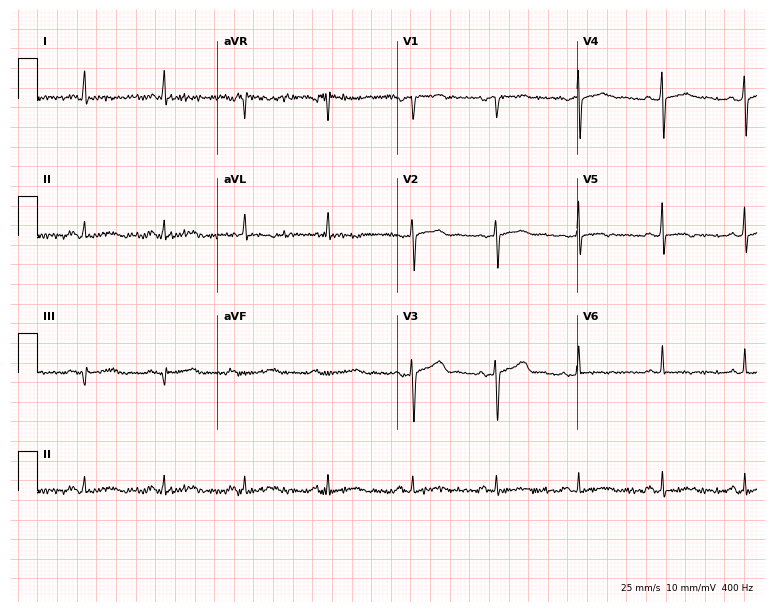
12-lead ECG from a female patient, 49 years old (7.3-second recording at 400 Hz). No first-degree AV block, right bundle branch block, left bundle branch block, sinus bradycardia, atrial fibrillation or sinus tachycardia recorded for this tracing. Findings outside these six are not listed.